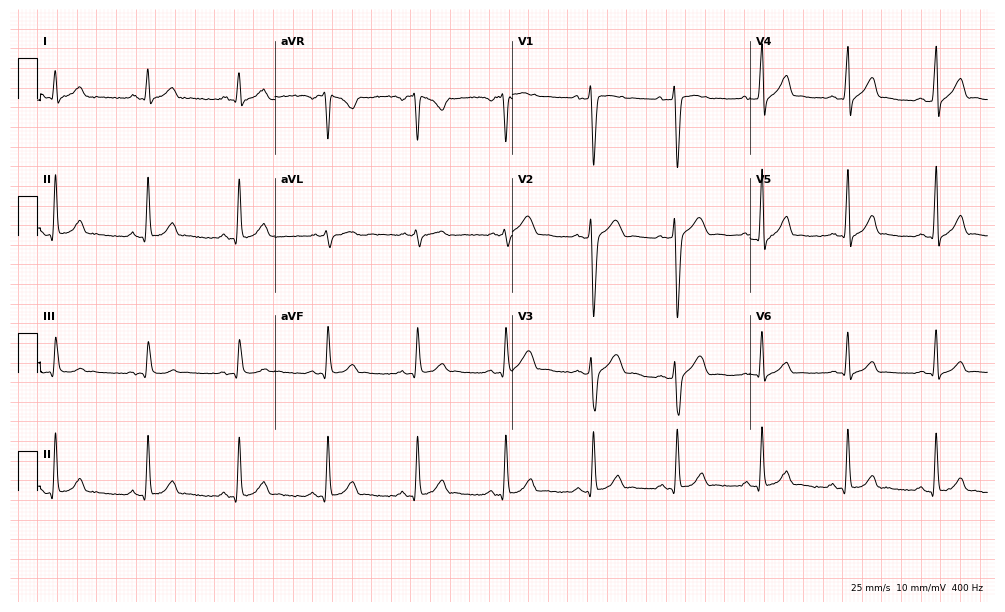
12-lead ECG from a man, 32 years old. No first-degree AV block, right bundle branch block, left bundle branch block, sinus bradycardia, atrial fibrillation or sinus tachycardia recorded for this tracing. Findings outside these six are not listed.